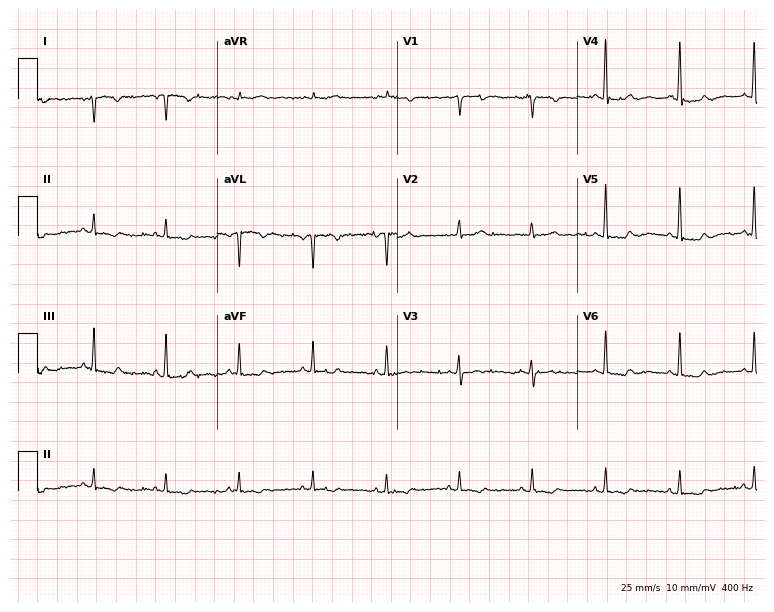
12-lead ECG from a 63-year-old woman (7.3-second recording at 400 Hz). No first-degree AV block, right bundle branch block (RBBB), left bundle branch block (LBBB), sinus bradycardia, atrial fibrillation (AF) or sinus tachycardia recorded for this tracing. Only these six findings were labelled.